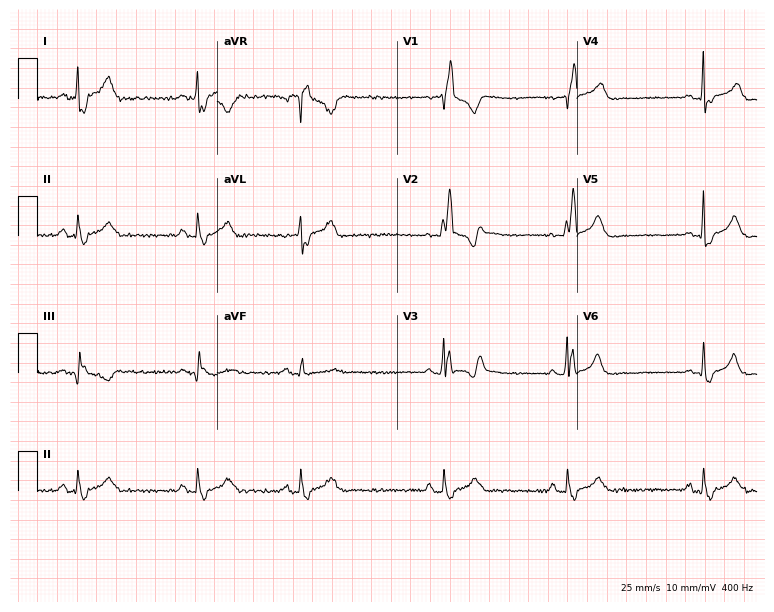
Standard 12-lead ECG recorded from a male, 27 years old. The tracing shows right bundle branch block (RBBB), sinus bradycardia (a sinus rate of 50 beats per minute or less).